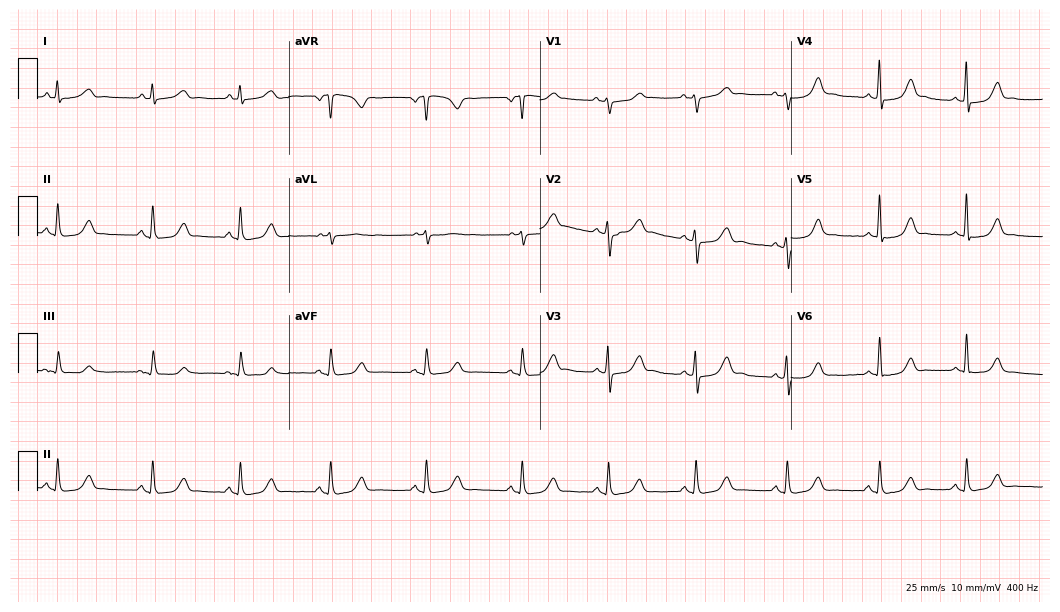
Standard 12-lead ECG recorded from a woman, 36 years old (10.2-second recording at 400 Hz). Read as a normal ECG.